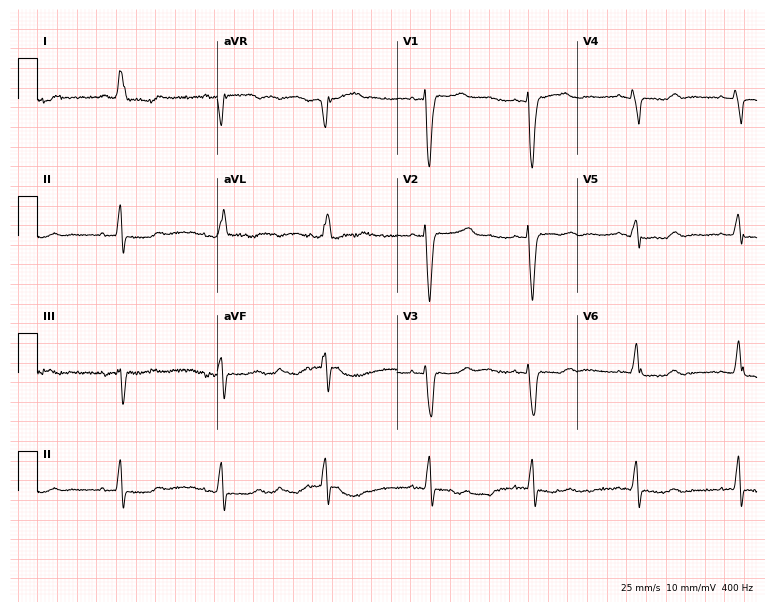
ECG — an 84-year-old female patient. Findings include left bundle branch block.